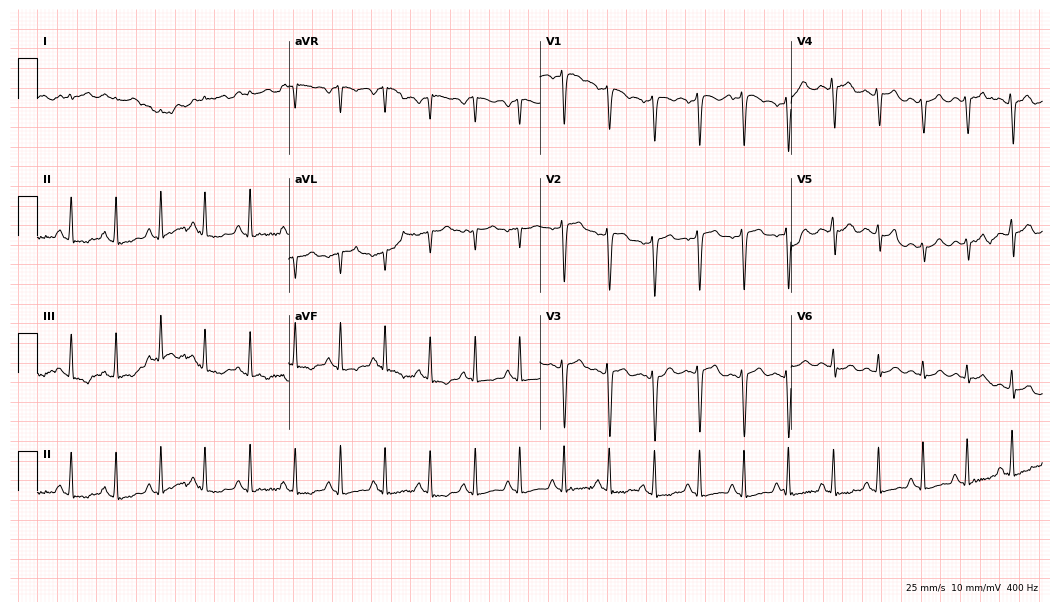
Resting 12-lead electrocardiogram (10.2-second recording at 400 Hz). Patient: a man, 56 years old. The tracing shows sinus tachycardia (a sinus rate of 100 beats per minute or more).